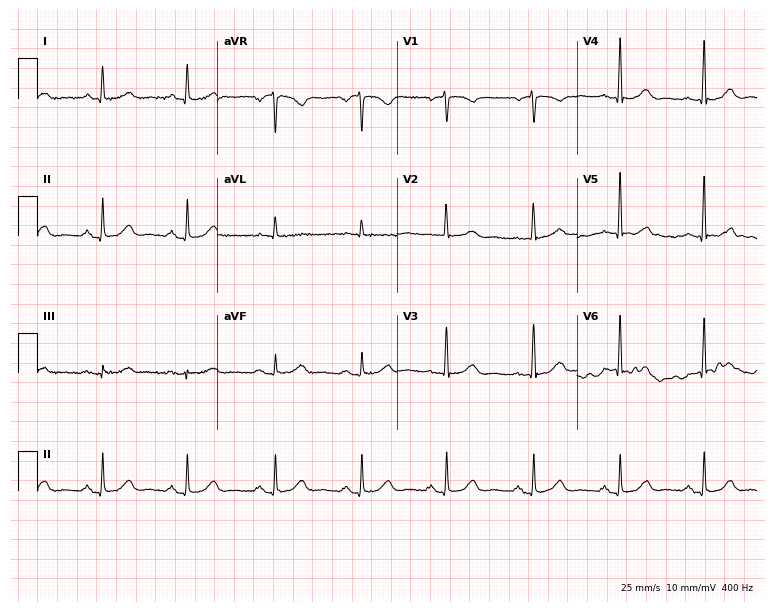
Standard 12-lead ECG recorded from a 57-year-old female patient (7.3-second recording at 400 Hz). None of these six findings is recorded: first-degree AV block, right bundle branch block, left bundle branch block, sinus bradycardia, atrial fibrillation, sinus tachycardia. Only these six findings were labelled.